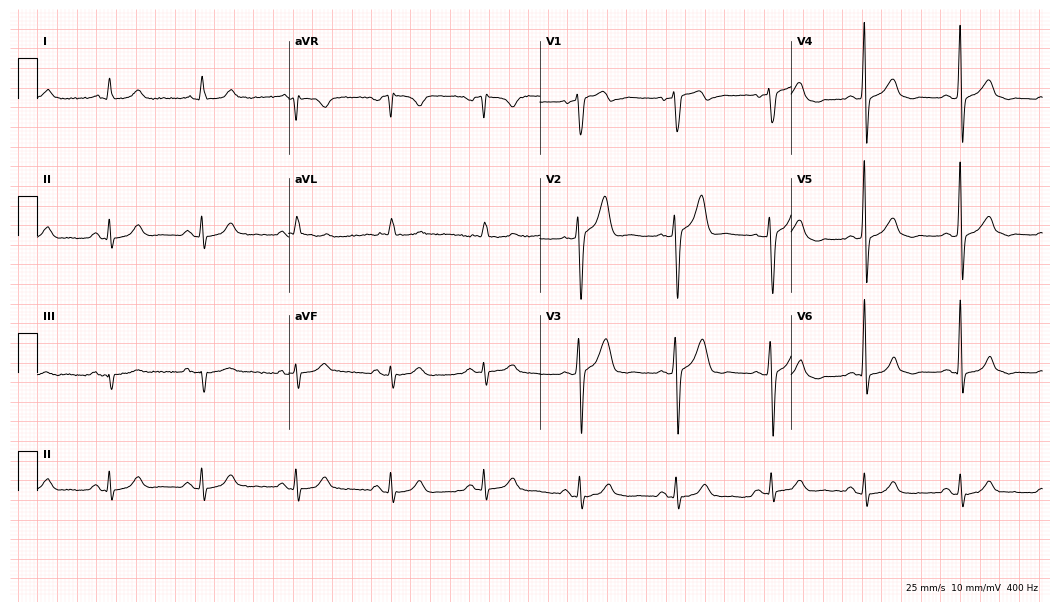
12-lead ECG from a 61-year-old male. Labelled as a normal ECG.